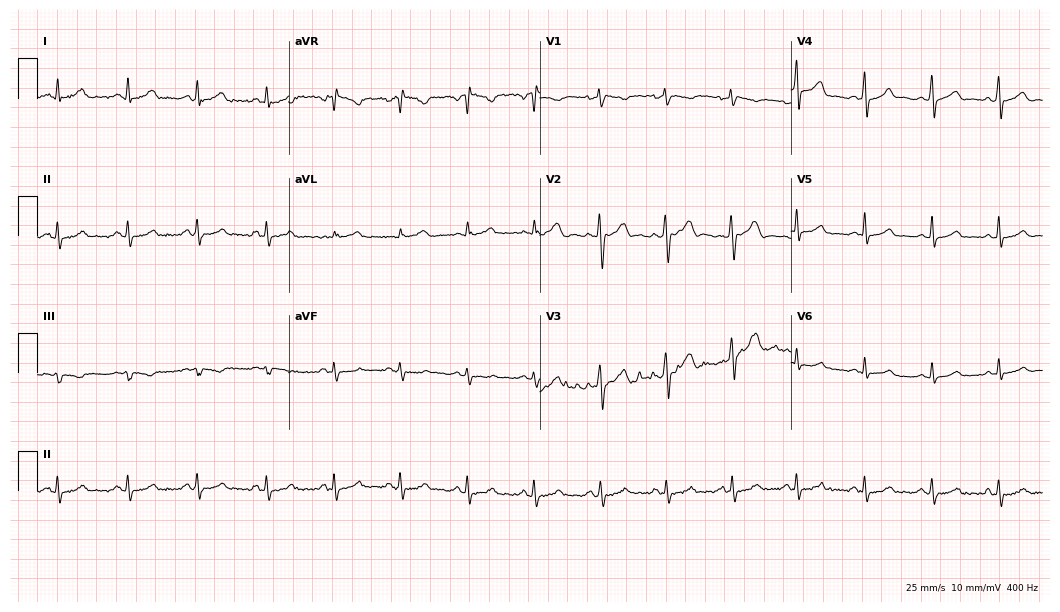
Standard 12-lead ECG recorded from a man, 24 years old. Read as a normal ECG.